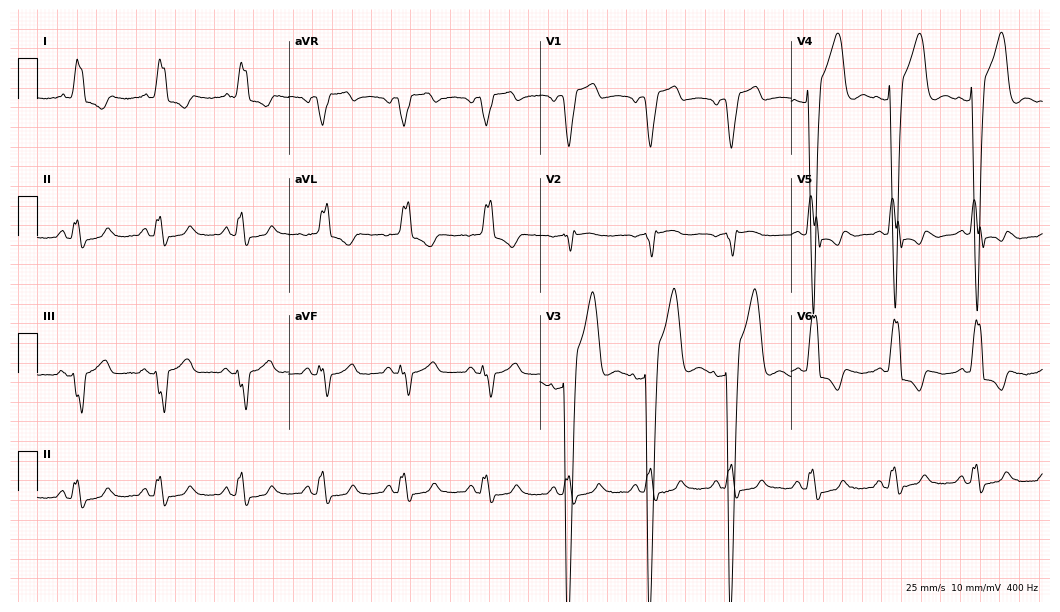
ECG — an 83-year-old male patient. Findings include left bundle branch block (LBBB).